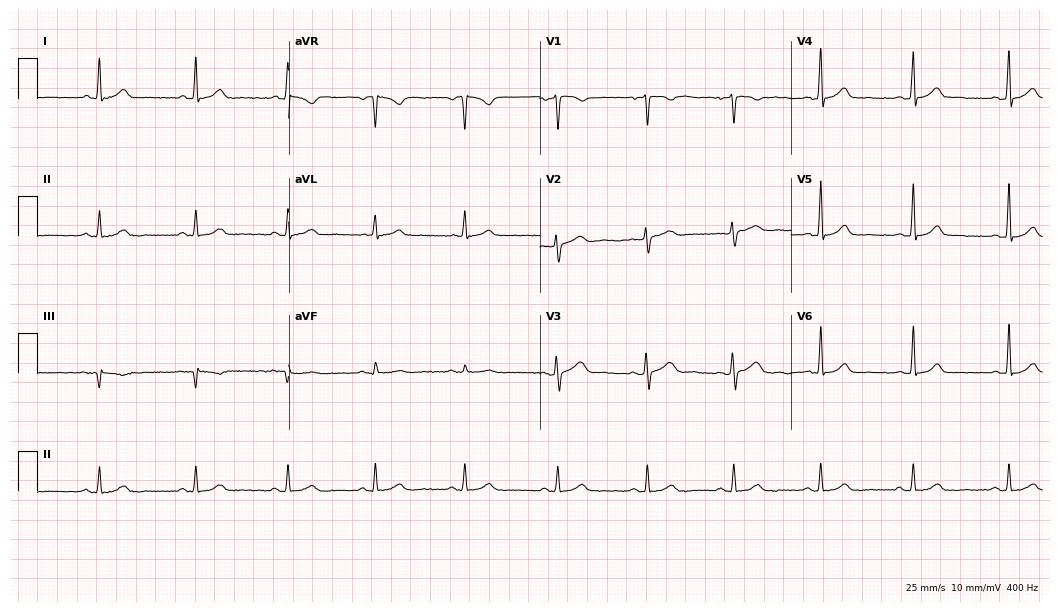
Electrocardiogram (10.2-second recording at 400 Hz), a 43-year-old woman. Overall reading on record: normal ECG.